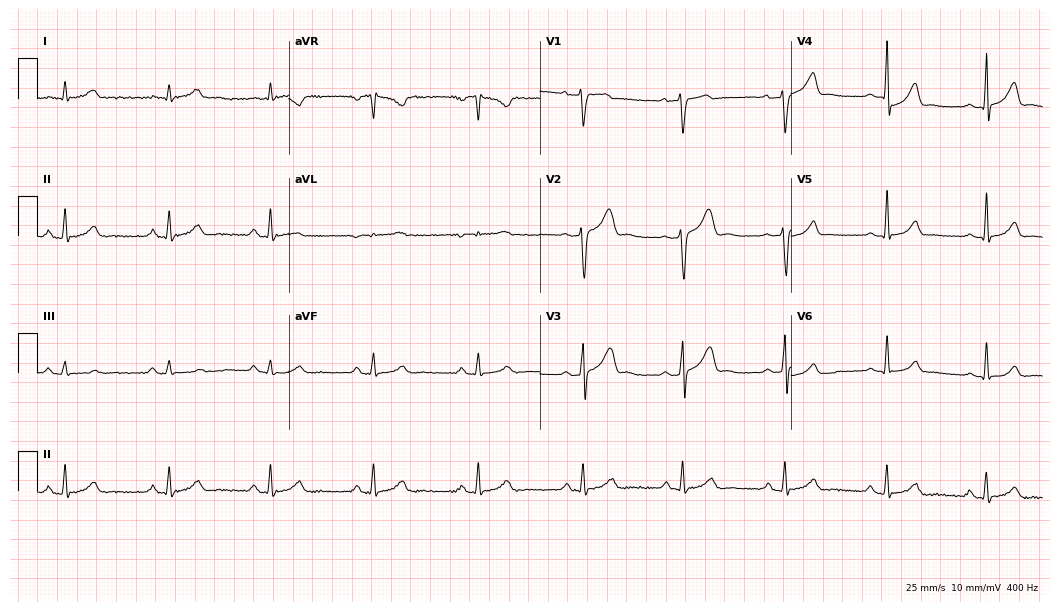
12-lead ECG from a man, 37 years old (10.2-second recording at 400 Hz). Recorded interpretation: within normal limits.